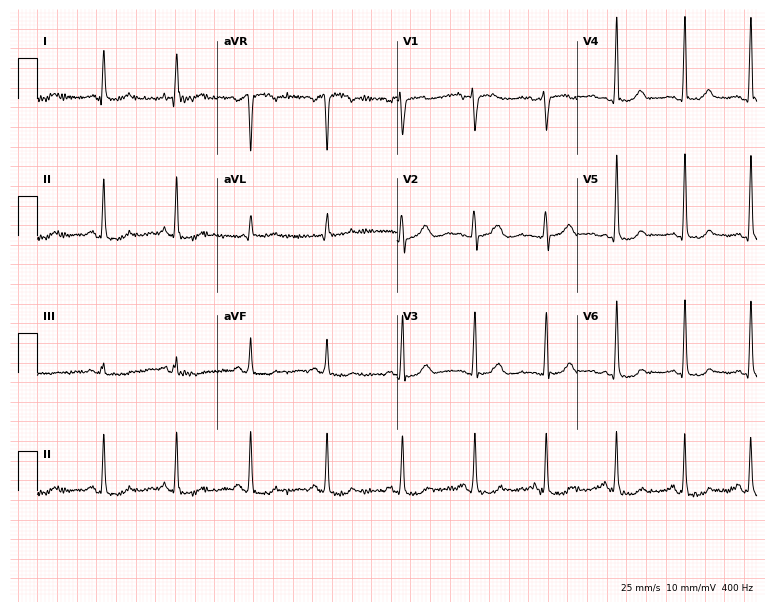
ECG (7.3-second recording at 400 Hz) — a 52-year-old female. Screened for six findings — first-degree AV block, right bundle branch block, left bundle branch block, sinus bradycardia, atrial fibrillation, sinus tachycardia — none is recorded. Findings outside these six are not listed.